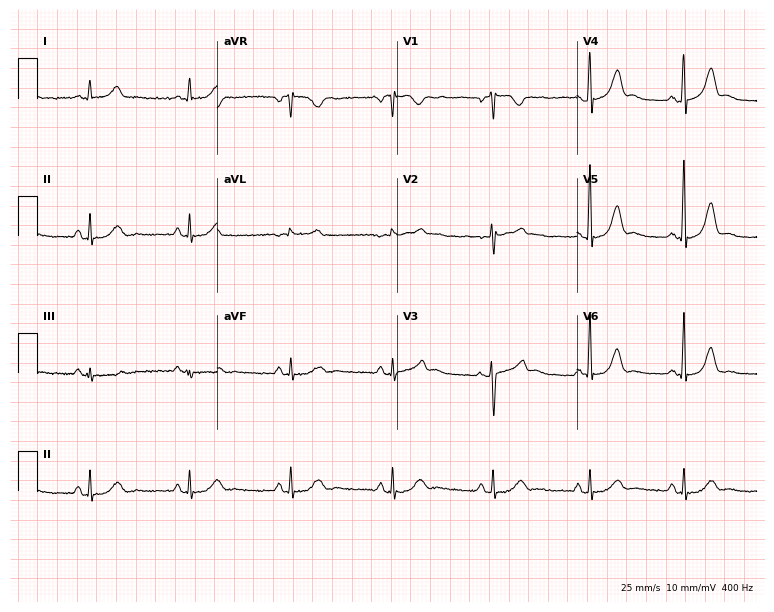
Standard 12-lead ECG recorded from a 47-year-old woman. Read as a normal ECG.